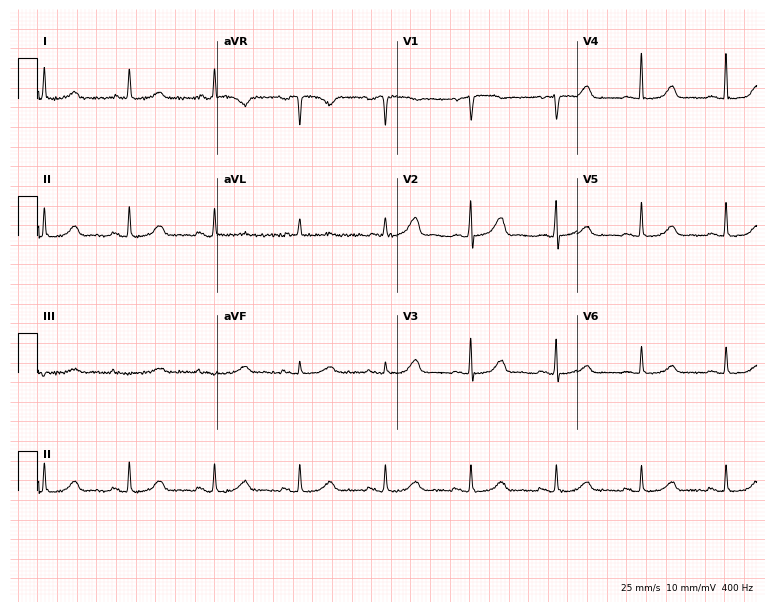
ECG (7.3-second recording at 400 Hz) — an 81-year-old female patient. Labelled as a normal ECG.